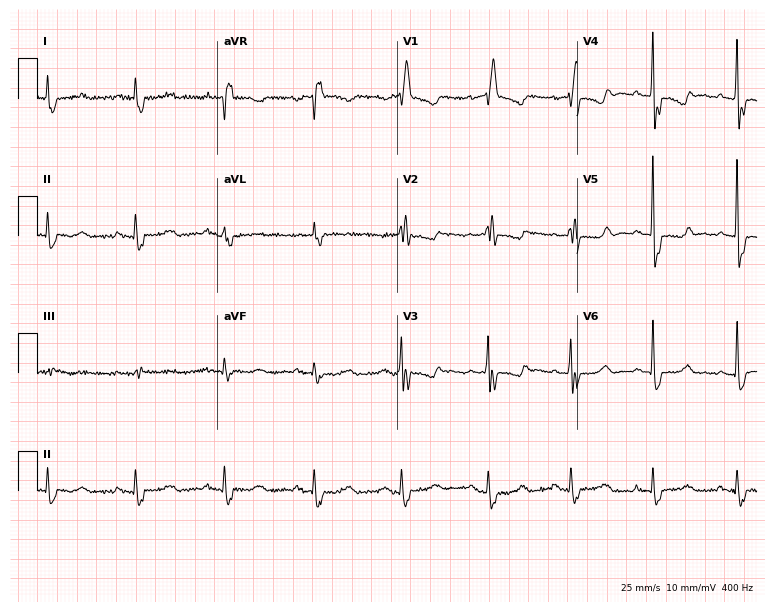
12-lead ECG from a 79-year-old female. Shows right bundle branch block.